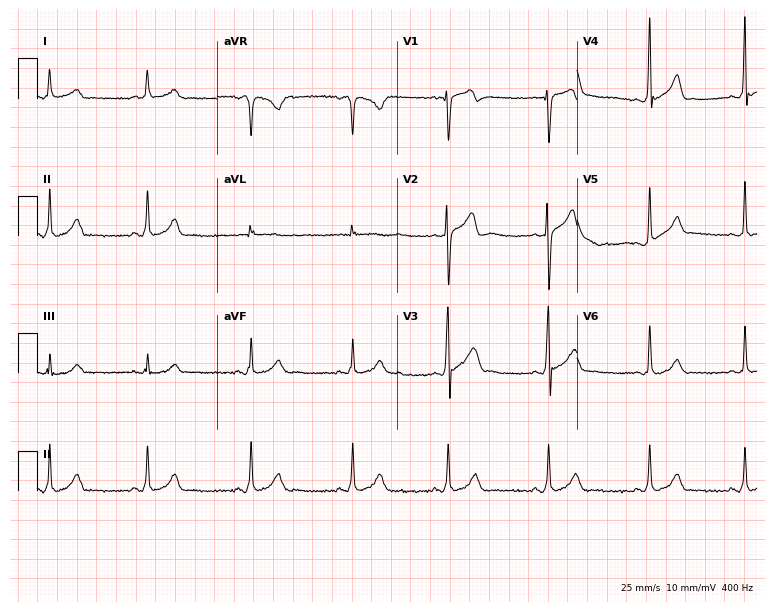
Standard 12-lead ECG recorded from a 22-year-old male. None of these six findings is recorded: first-degree AV block, right bundle branch block (RBBB), left bundle branch block (LBBB), sinus bradycardia, atrial fibrillation (AF), sinus tachycardia. Only these six findings were labelled.